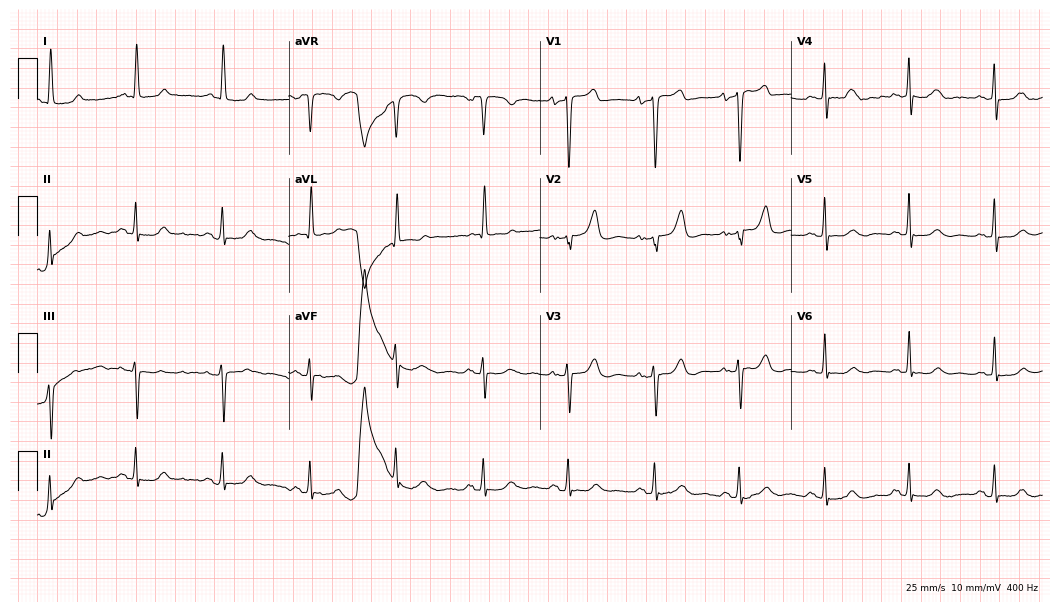
Electrocardiogram (10.2-second recording at 400 Hz), an 85-year-old woman. Of the six screened findings (first-degree AV block, right bundle branch block (RBBB), left bundle branch block (LBBB), sinus bradycardia, atrial fibrillation (AF), sinus tachycardia), none is recorded. Other findings, if any, are not listed.